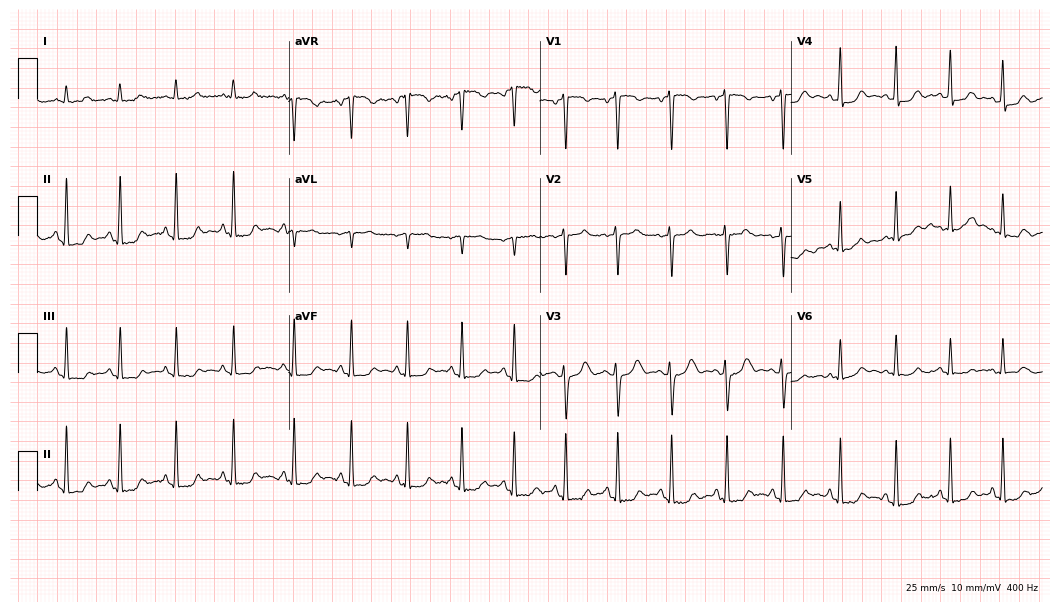
Resting 12-lead electrocardiogram (10.2-second recording at 400 Hz). Patient: a 30-year-old woman. The tracing shows sinus tachycardia (a sinus rate of 100 beats per minute or more).